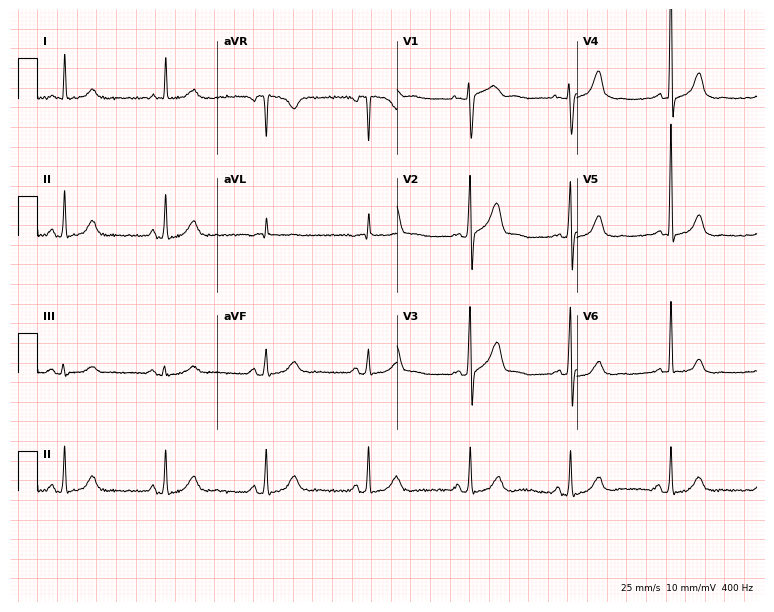
Electrocardiogram (7.3-second recording at 400 Hz), a female patient, 66 years old. Of the six screened findings (first-degree AV block, right bundle branch block (RBBB), left bundle branch block (LBBB), sinus bradycardia, atrial fibrillation (AF), sinus tachycardia), none is recorded. Other findings, if any, are not listed.